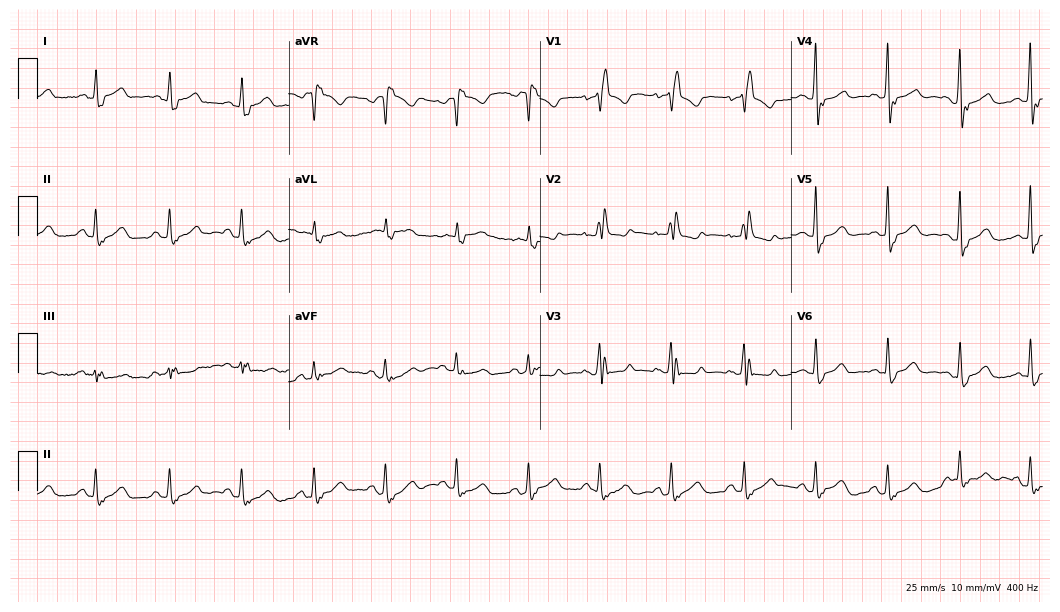
12-lead ECG from a woman, 80 years old. Shows right bundle branch block (RBBB).